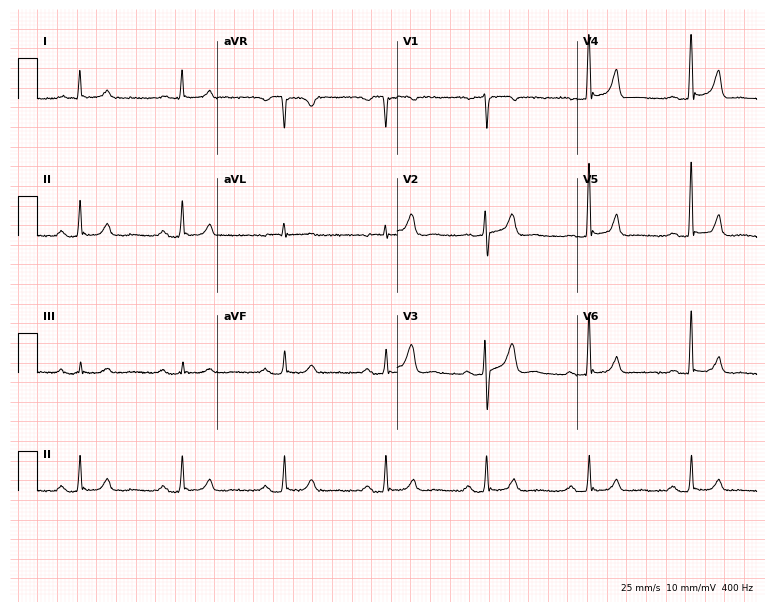
Resting 12-lead electrocardiogram (7.3-second recording at 400 Hz). Patient: a male, 58 years old. Read as a normal ECG.